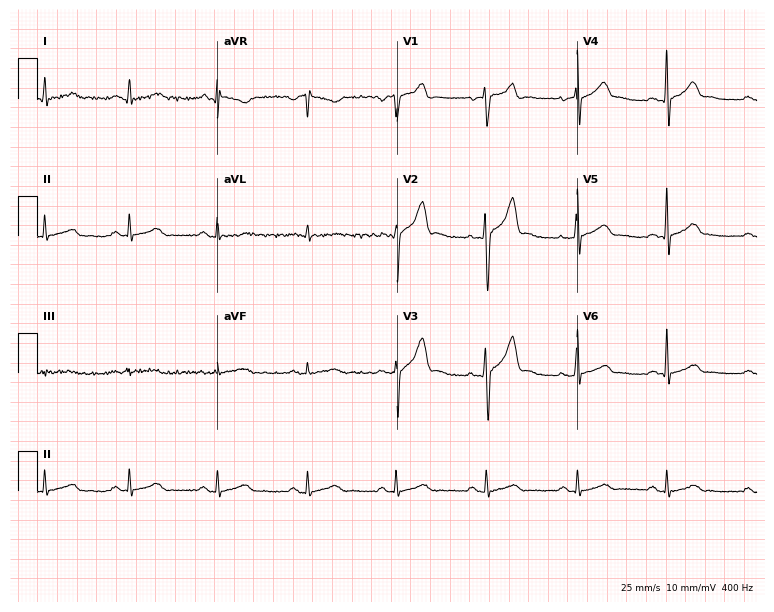
Electrocardiogram (7.3-second recording at 400 Hz), a 26-year-old male patient. Overall reading on record: normal ECG.